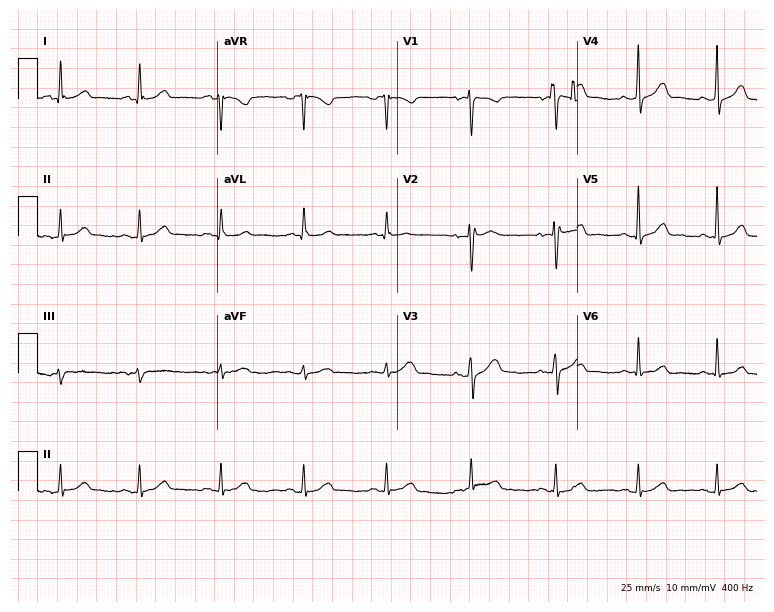
Resting 12-lead electrocardiogram. Patient: a man, 38 years old. Read as a normal ECG.